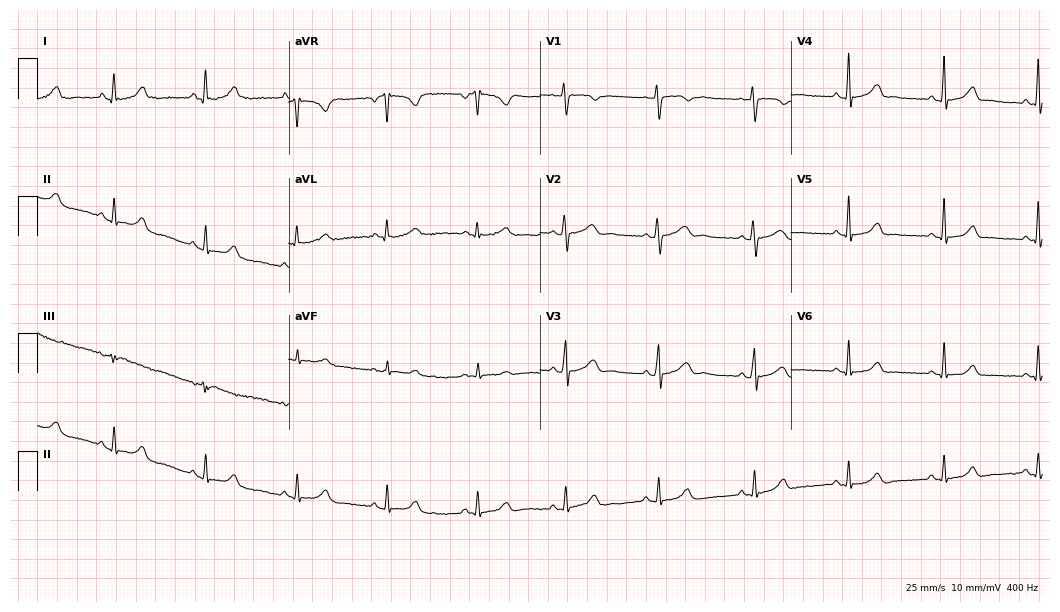
ECG (10.2-second recording at 400 Hz) — a woman, 33 years old. Screened for six findings — first-degree AV block, right bundle branch block (RBBB), left bundle branch block (LBBB), sinus bradycardia, atrial fibrillation (AF), sinus tachycardia — none is recorded.